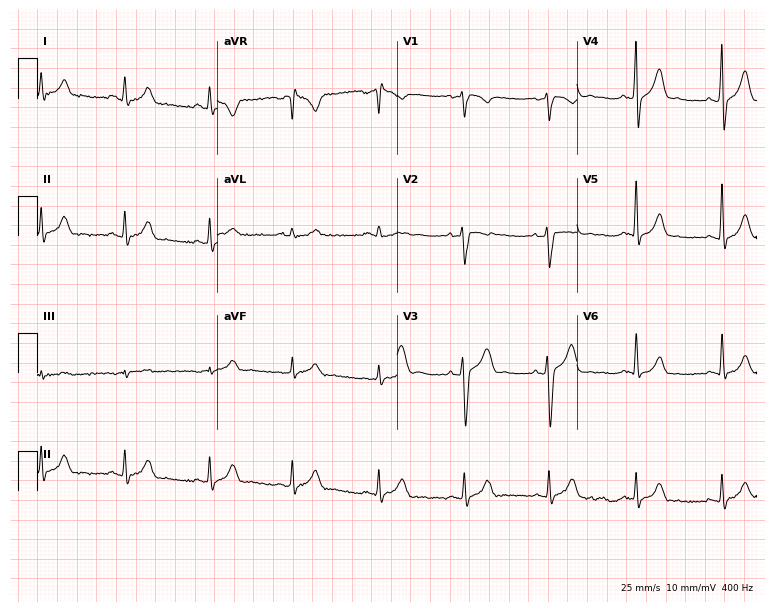
12-lead ECG (7.3-second recording at 400 Hz) from a male patient, 47 years old. Screened for six findings — first-degree AV block, right bundle branch block, left bundle branch block, sinus bradycardia, atrial fibrillation, sinus tachycardia — none is recorded.